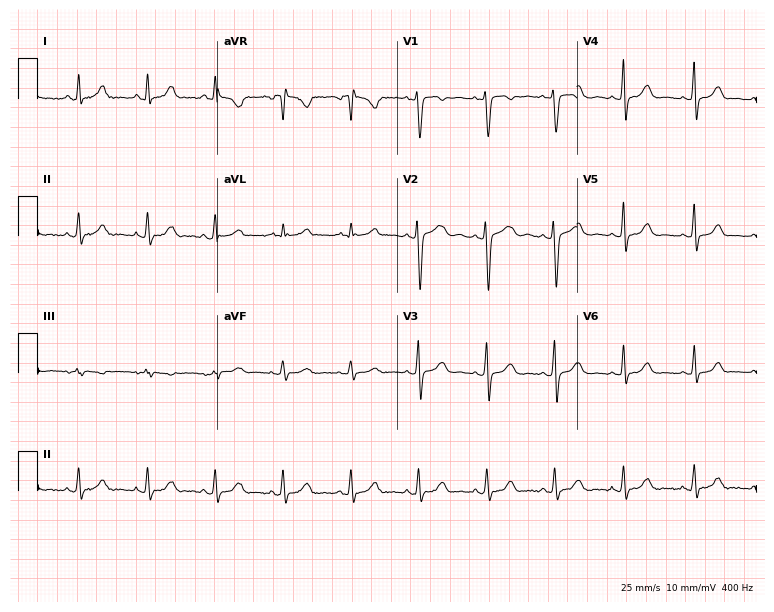
Standard 12-lead ECG recorded from a female patient, 41 years old (7.3-second recording at 400 Hz). None of these six findings is recorded: first-degree AV block, right bundle branch block, left bundle branch block, sinus bradycardia, atrial fibrillation, sinus tachycardia.